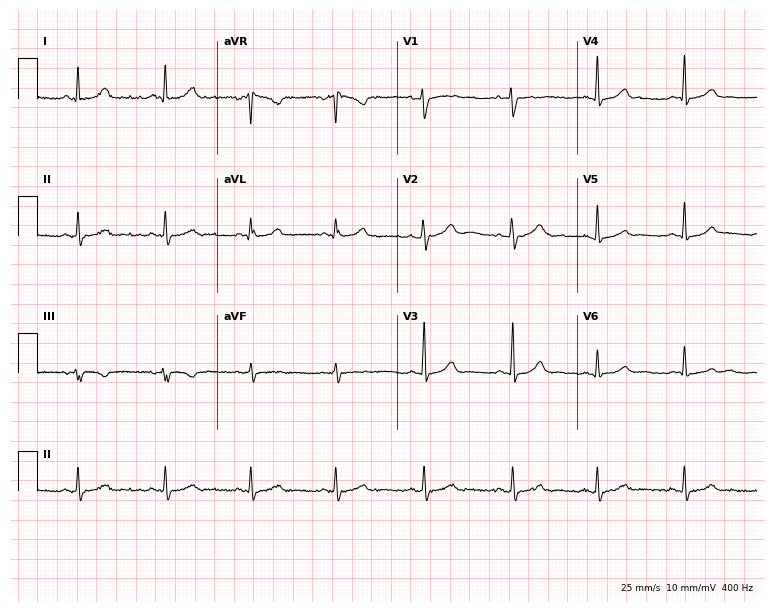
Resting 12-lead electrocardiogram. Patient: a woman, 49 years old. Read as a normal ECG.